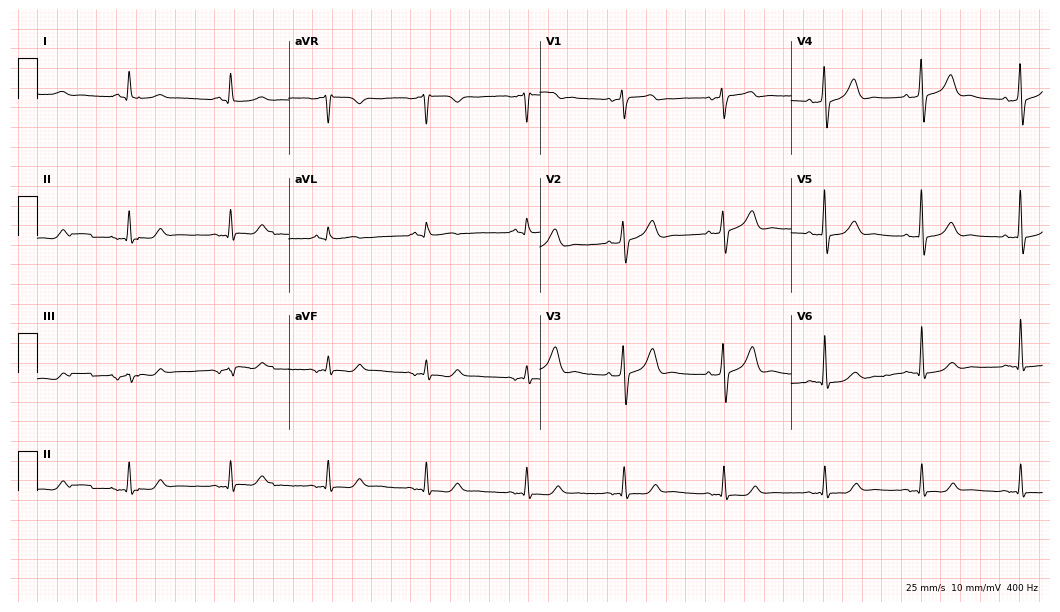
Resting 12-lead electrocardiogram (10.2-second recording at 400 Hz). Patient: a 79-year-old male. None of these six findings is recorded: first-degree AV block, right bundle branch block, left bundle branch block, sinus bradycardia, atrial fibrillation, sinus tachycardia.